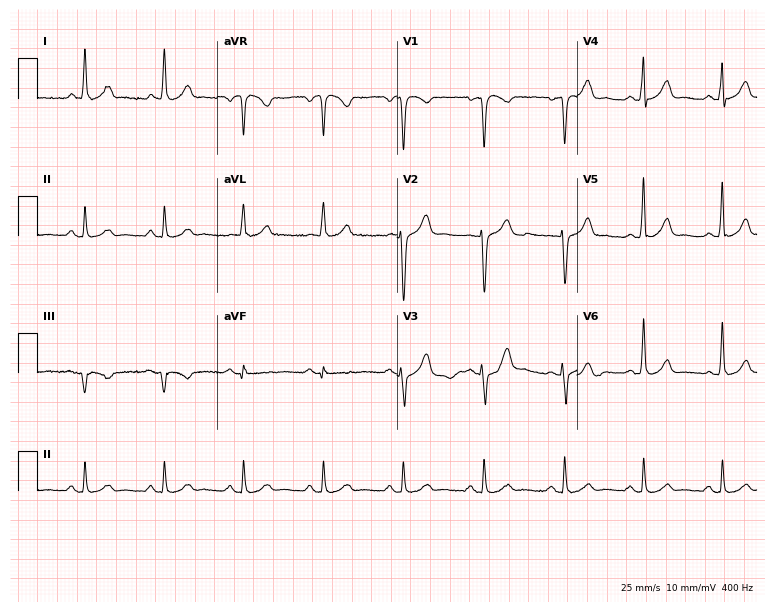
Standard 12-lead ECG recorded from a 59-year-old male (7.3-second recording at 400 Hz). Read as a normal ECG.